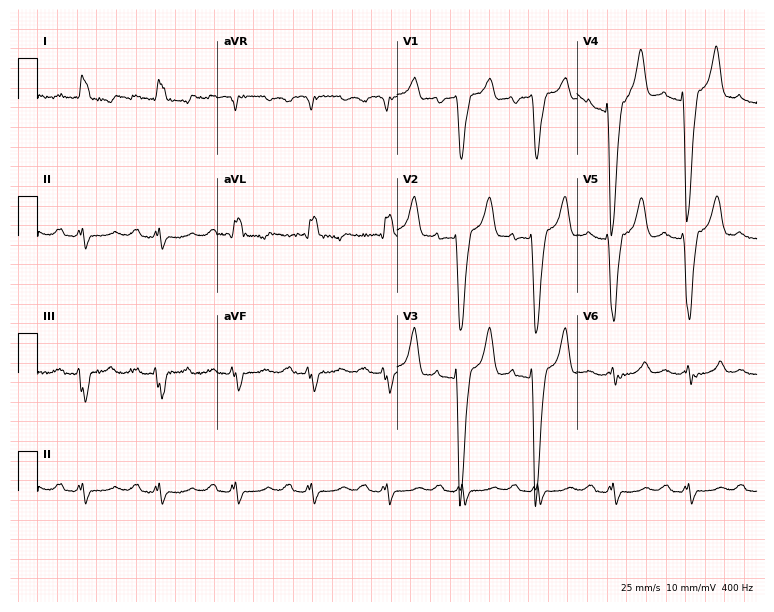
12-lead ECG from a man, 62 years old (7.3-second recording at 400 Hz). Shows left bundle branch block (LBBB).